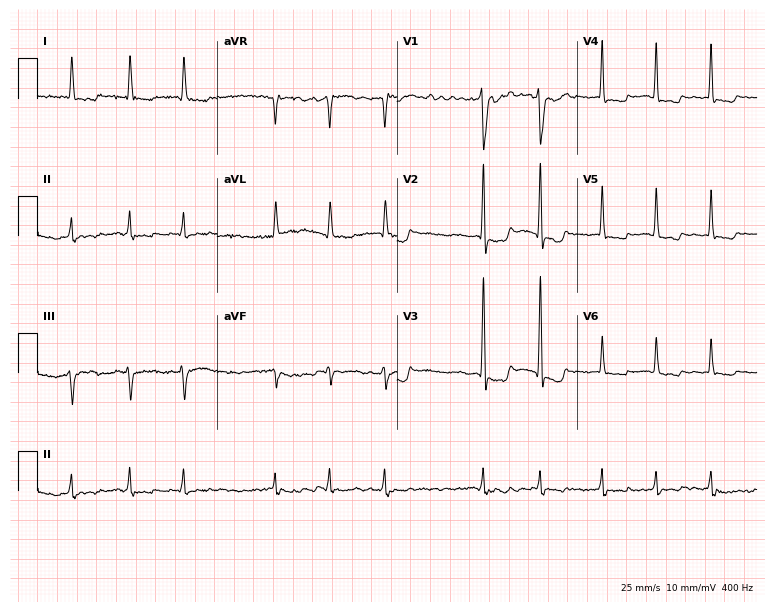
Electrocardiogram (7.3-second recording at 400 Hz), a female patient, 72 years old. Interpretation includes atrial fibrillation (AF).